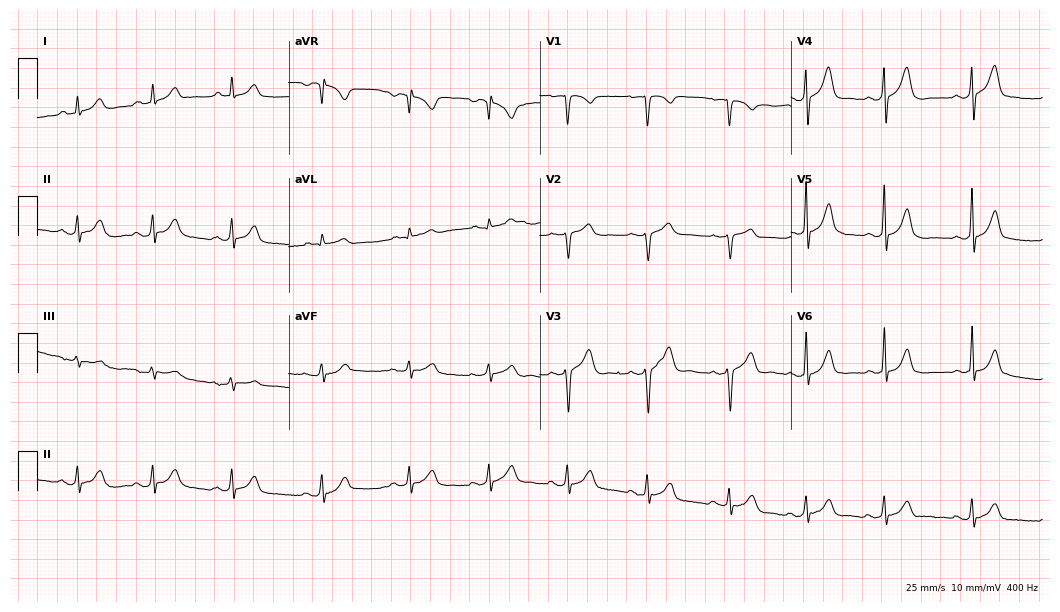
12-lead ECG from a woman, 30 years old (10.2-second recording at 400 Hz). Recorded interpretation: within normal limits.